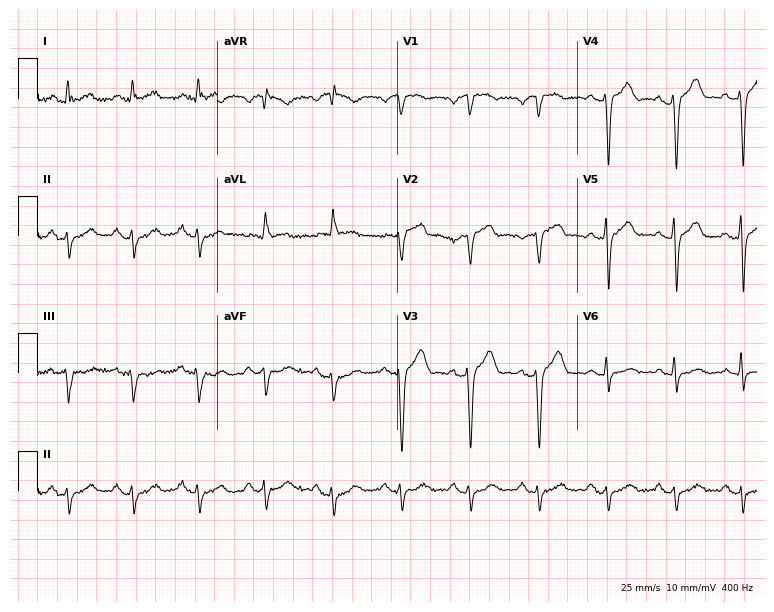
12-lead ECG from a 64-year-old male patient. Screened for six findings — first-degree AV block, right bundle branch block, left bundle branch block, sinus bradycardia, atrial fibrillation, sinus tachycardia — none is recorded. Only these six findings were labelled.